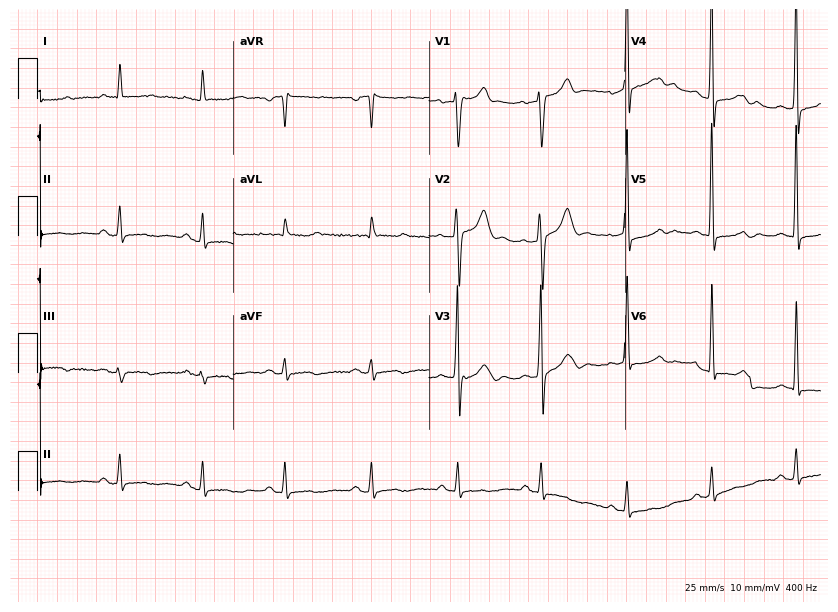
12-lead ECG (8-second recording at 400 Hz) from a 60-year-old male. Screened for six findings — first-degree AV block, right bundle branch block, left bundle branch block, sinus bradycardia, atrial fibrillation, sinus tachycardia — none is recorded.